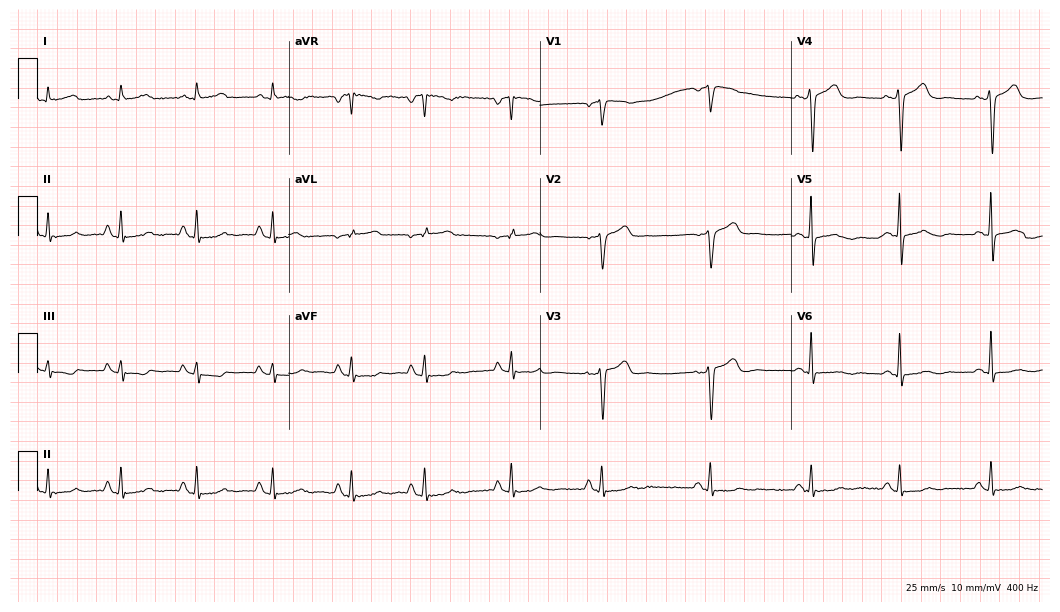
Resting 12-lead electrocardiogram (10.2-second recording at 400 Hz). Patient: a female, 59 years old. Read as a normal ECG.